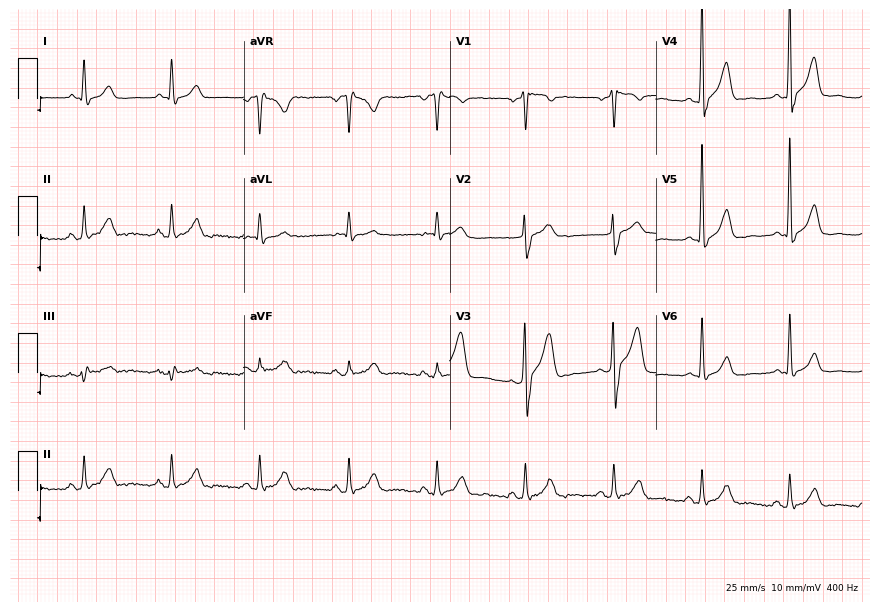
ECG — a man, 78 years old. Screened for six findings — first-degree AV block, right bundle branch block, left bundle branch block, sinus bradycardia, atrial fibrillation, sinus tachycardia — none is recorded.